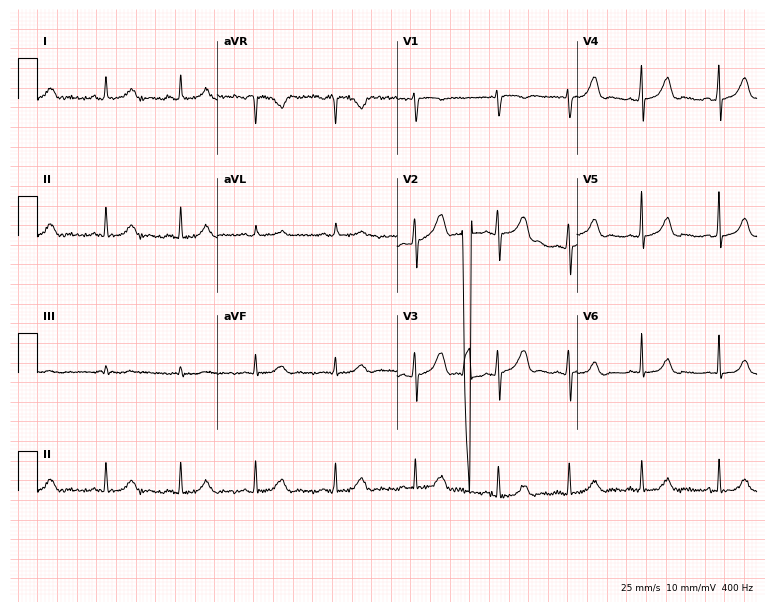
12-lead ECG (7.3-second recording at 400 Hz) from an 18-year-old female patient. Screened for six findings — first-degree AV block, right bundle branch block, left bundle branch block, sinus bradycardia, atrial fibrillation, sinus tachycardia — none is recorded.